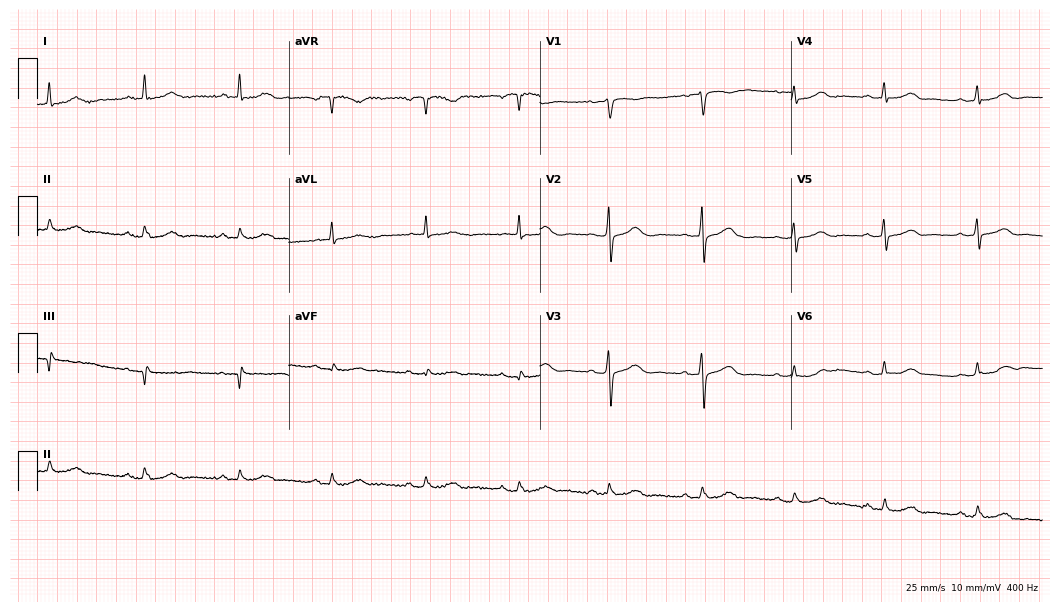
Standard 12-lead ECG recorded from a 71-year-old woman. Read as a normal ECG.